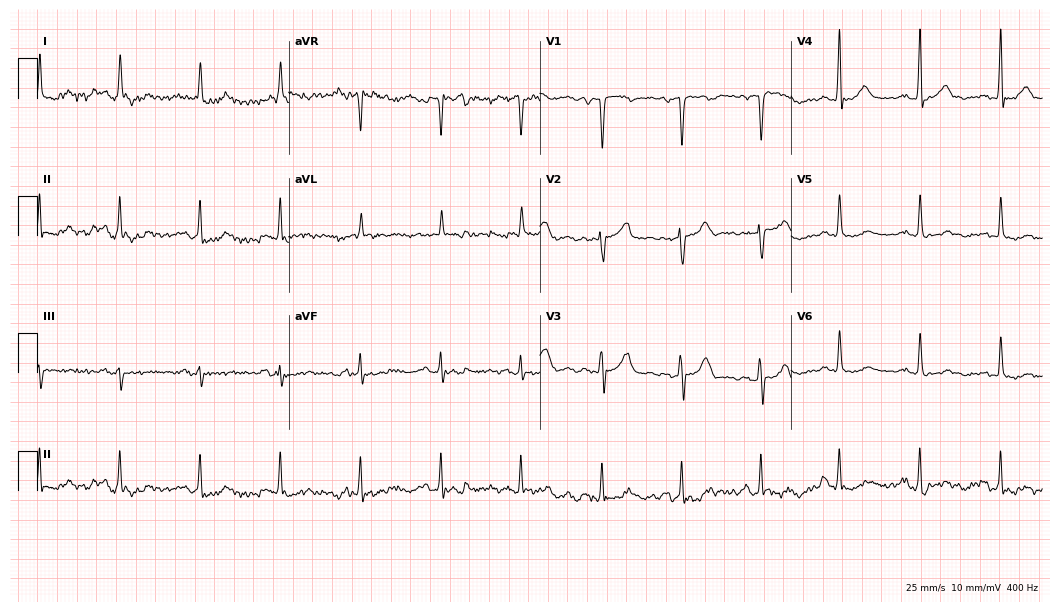
ECG — an 81-year-old male patient. Screened for six findings — first-degree AV block, right bundle branch block (RBBB), left bundle branch block (LBBB), sinus bradycardia, atrial fibrillation (AF), sinus tachycardia — none is recorded. Only these six findings were labelled.